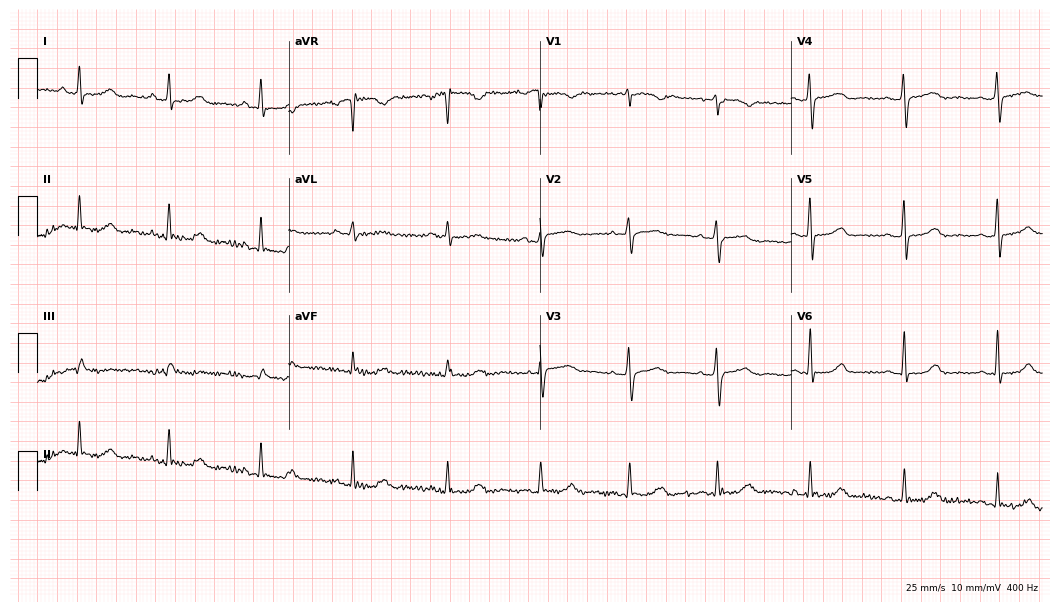
12-lead ECG (10.2-second recording at 400 Hz) from a 58-year-old female patient. Screened for six findings — first-degree AV block, right bundle branch block, left bundle branch block, sinus bradycardia, atrial fibrillation, sinus tachycardia — none is recorded. Other findings, if any, are not listed.